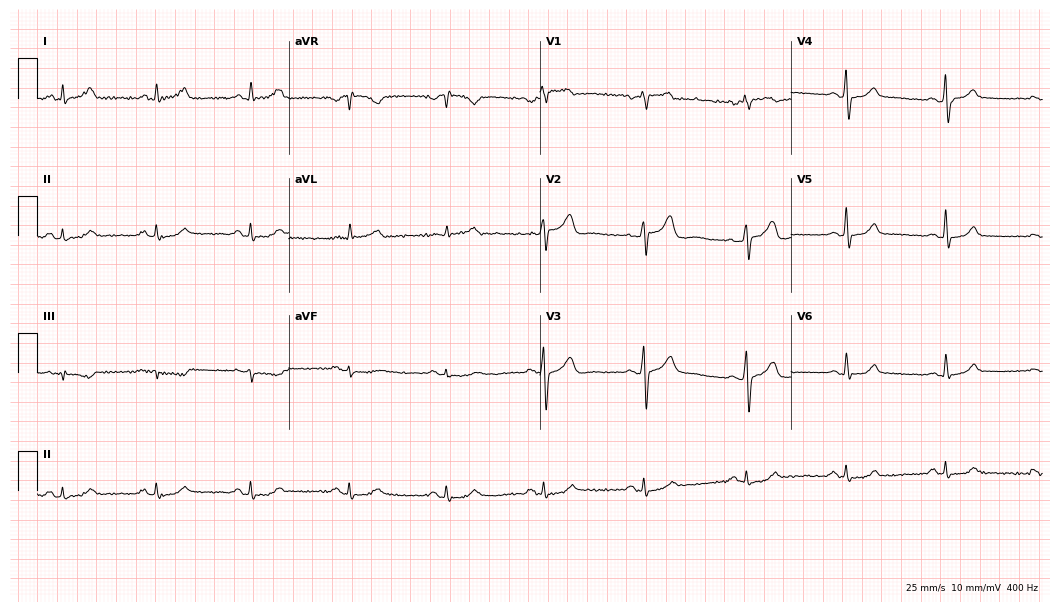
Electrocardiogram (10.2-second recording at 400 Hz), a 54-year-old male. Overall reading on record: normal ECG.